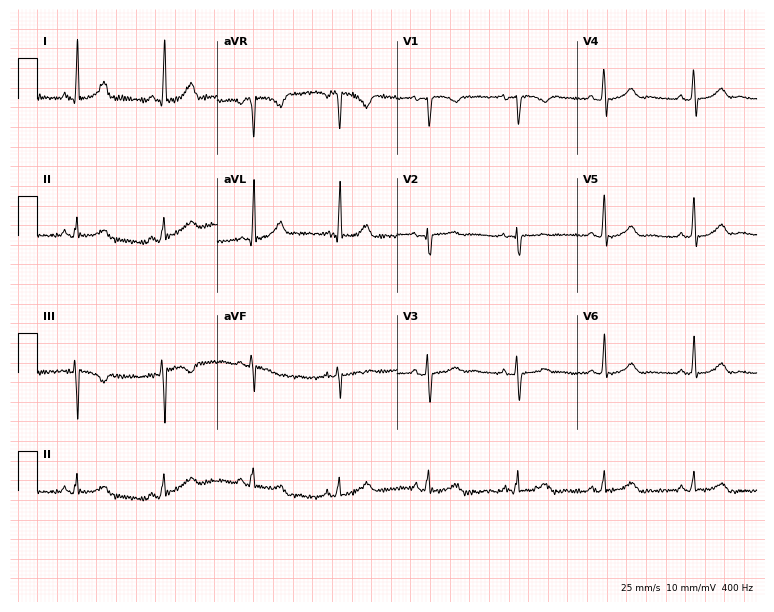
ECG — a female, 43 years old. Labelled as a normal ECG.